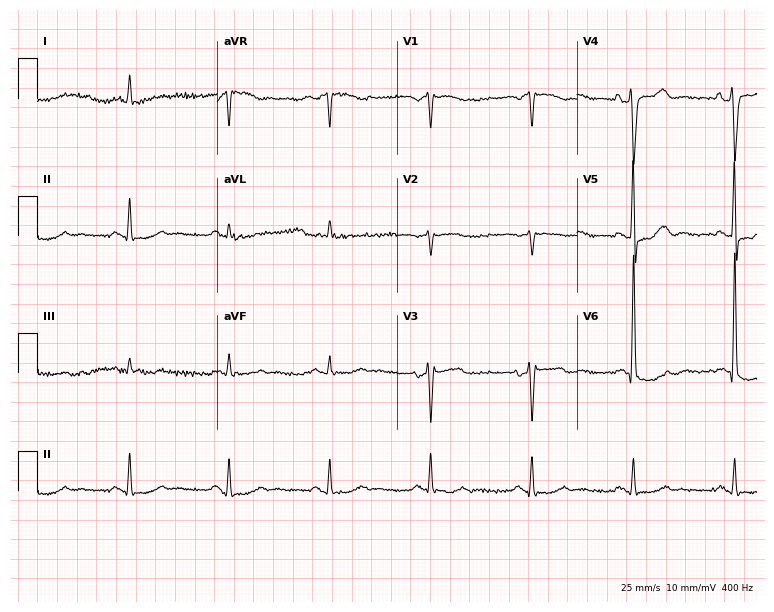
Resting 12-lead electrocardiogram. Patient: a 74-year-old male. None of these six findings is recorded: first-degree AV block, right bundle branch block, left bundle branch block, sinus bradycardia, atrial fibrillation, sinus tachycardia. Other findings, if any, are not listed.